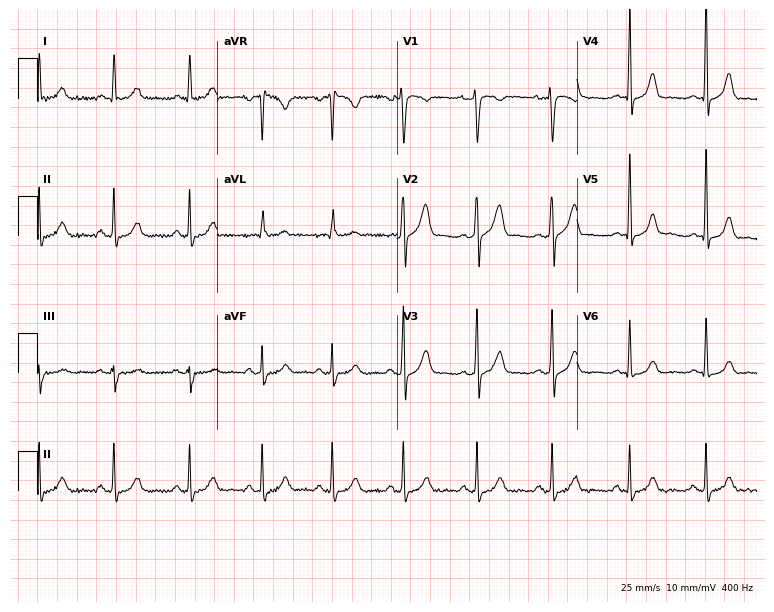
12-lead ECG (7.3-second recording at 400 Hz) from a female, 35 years old. Screened for six findings — first-degree AV block, right bundle branch block, left bundle branch block, sinus bradycardia, atrial fibrillation, sinus tachycardia — none is recorded. Other findings, if any, are not listed.